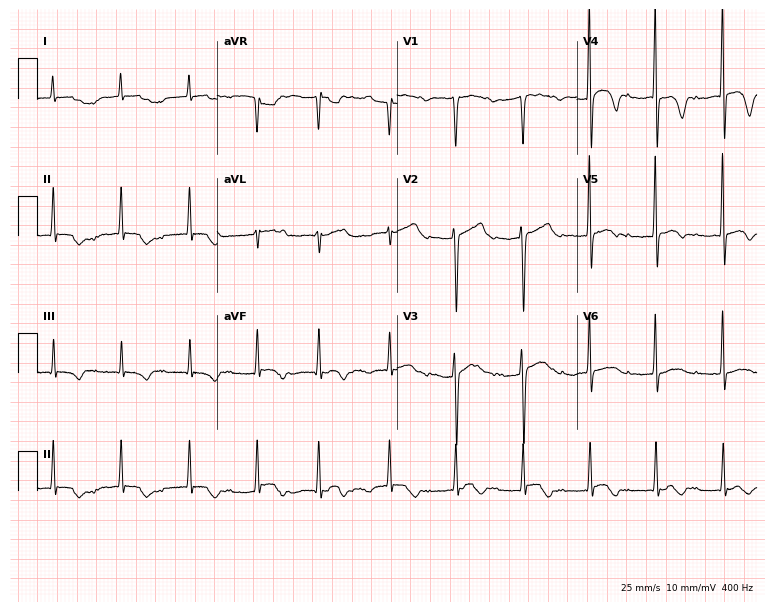
Resting 12-lead electrocardiogram. Patient: a 57-year-old male. None of these six findings is recorded: first-degree AV block, right bundle branch block, left bundle branch block, sinus bradycardia, atrial fibrillation, sinus tachycardia. Only these six findings were labelled.